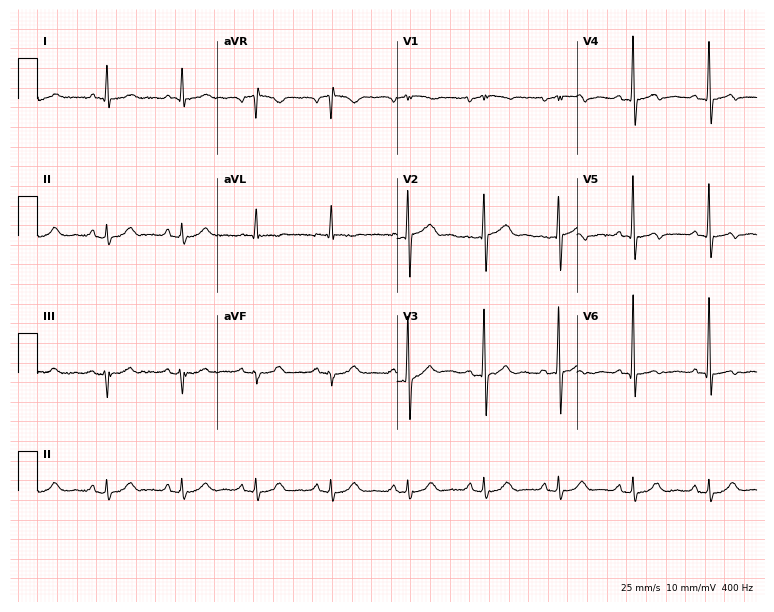
Electrocardiogram, a man, 81 years old. Of the six screened findings (first-degree AV block, right bundle branch block, left bundle branch block, sinus bradycardia, atrial fibrillation, sinus tachycardia), none is recorded.